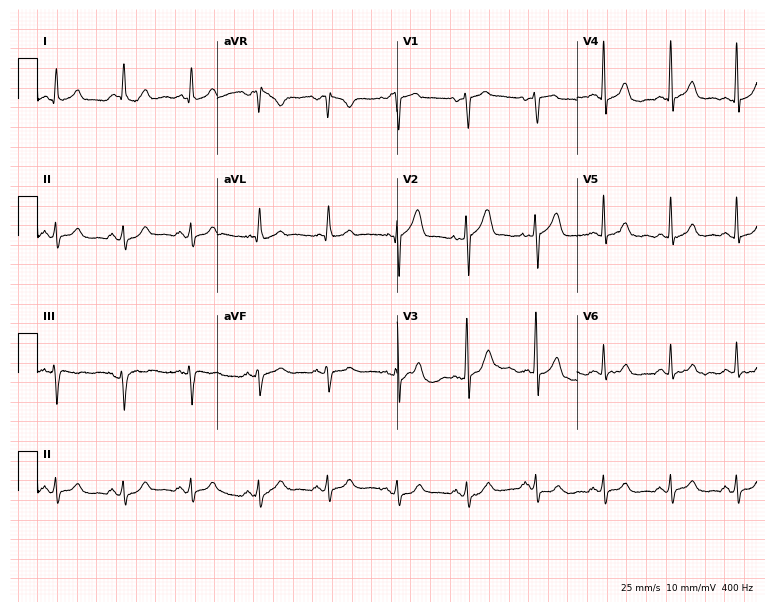
Standard 12-lead ECG recorded from a male, 51 years old (7.3-second recording at 400 Hz). Read as a normal ECG.